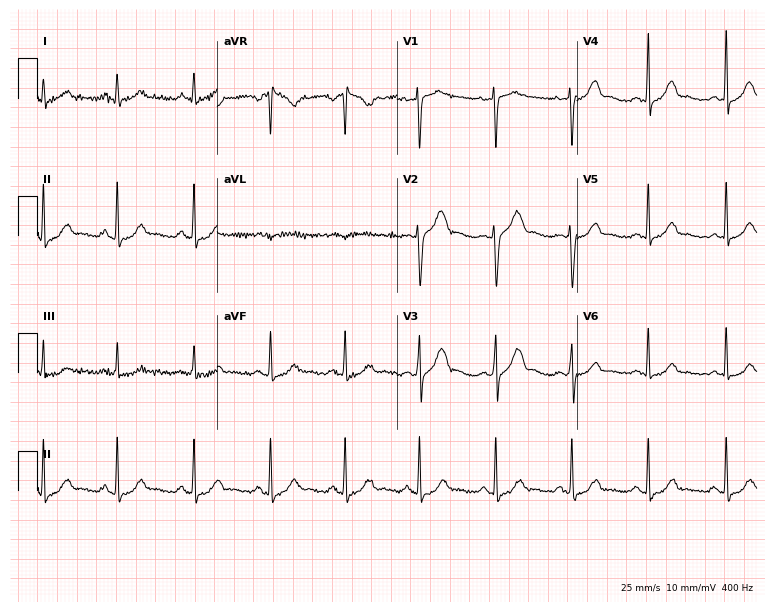
Electrocardiogram, a woman, 30 years old. Of the six screened findings (first-degree AV block, right bundle branch block (RBBB), left bundle branch block (LBBB), sinus bradycardia, atrial fibrillation (AF), sinus tachycardia), none is recorded.